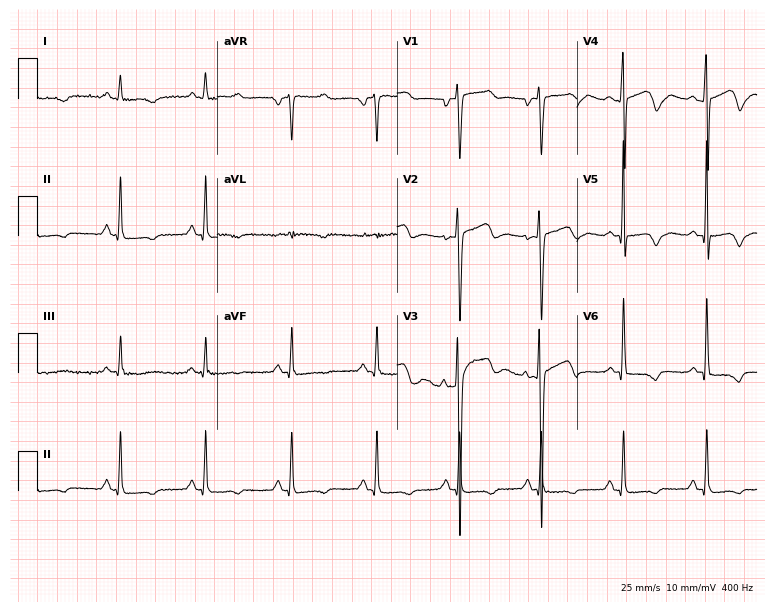
ECG (7.3-second recording at 400 Hz) — a man, 54 years old. Labelled as a normal ECG.